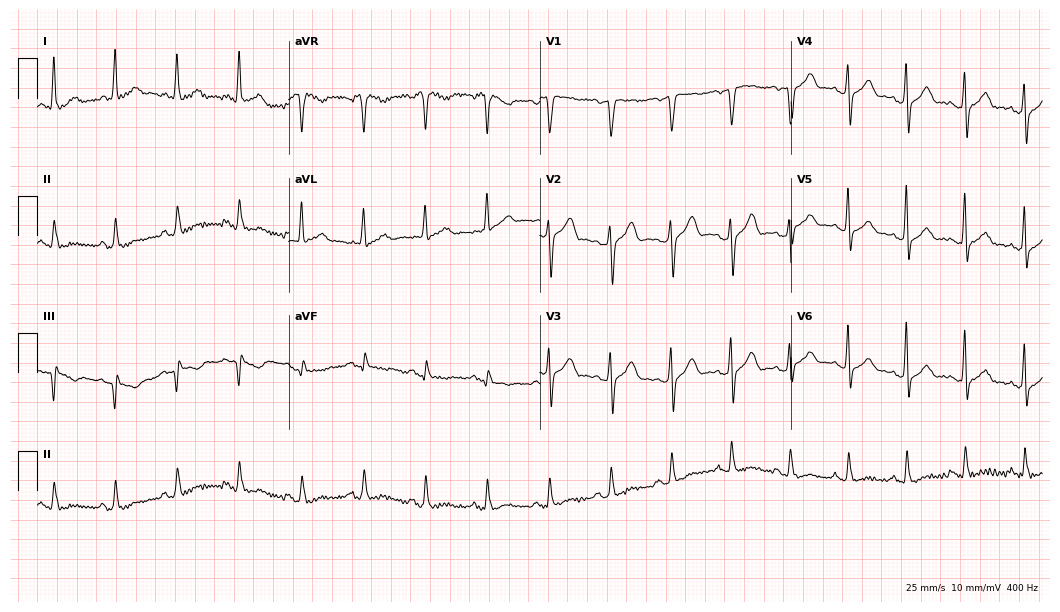
Resting 12-lead electrocardiogram. Patient: a male, 46 years old. Read as a normal ECG.